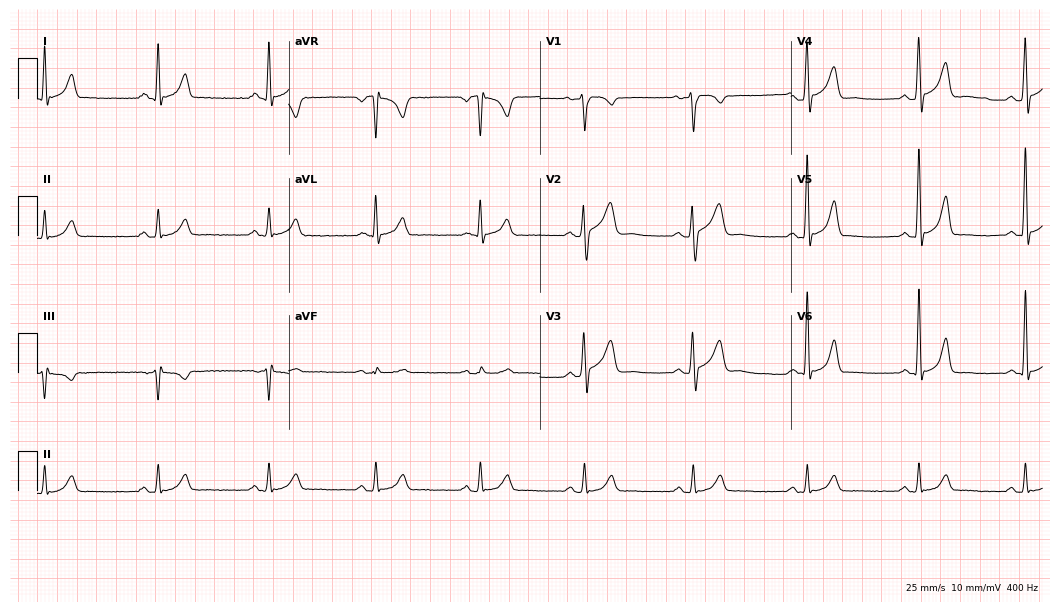
Electrocardiogram (10.2-second recording at 400 Hz), a 35-year-old male. Overall reading on record: normal ECG.